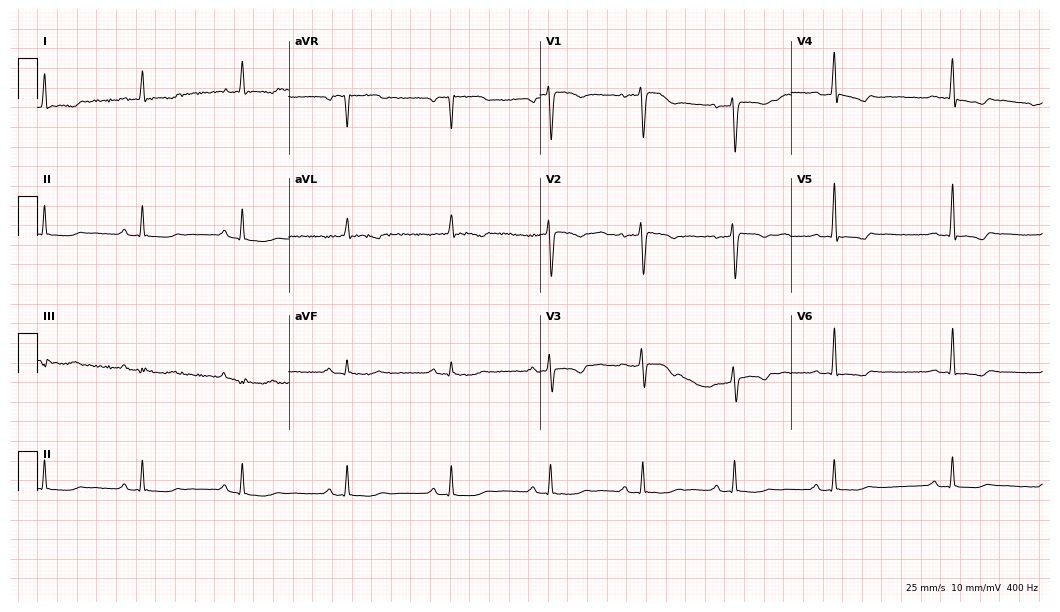
12-lead ECG from a 52-year-old woman. Screened for six findings — first-degree AV block, right bundle branch block (RBBB), left bundle branch block (LBBB), sinus bradycardia, atrial fibrillation (AF), sinus tachycardia — none is recorded.